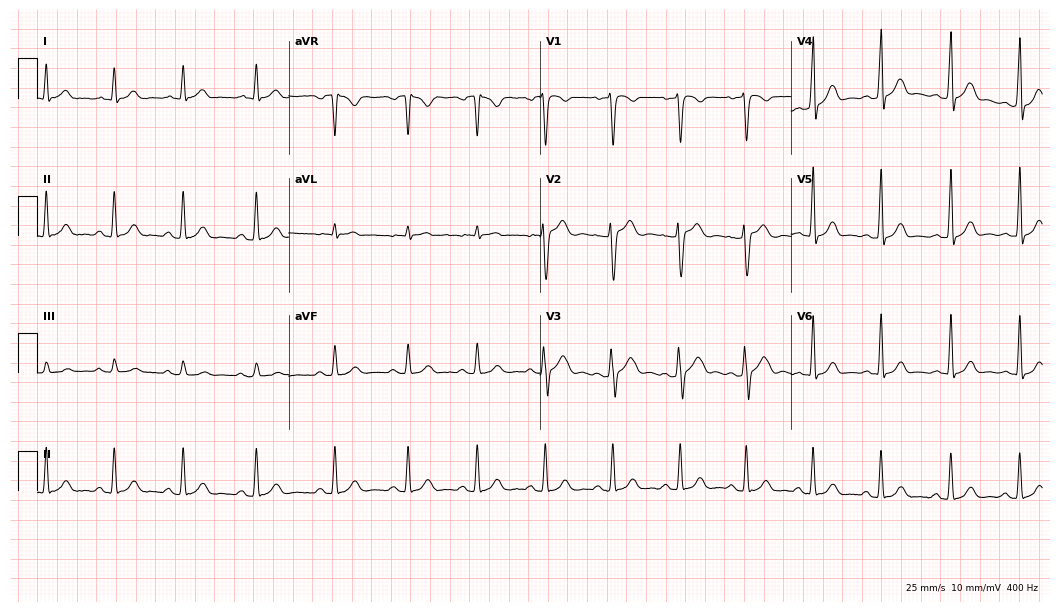
Electrocardiogram (10.2-second recording at 400 Hz), a male, 24 years old. Overall reading on record: normal ECG.